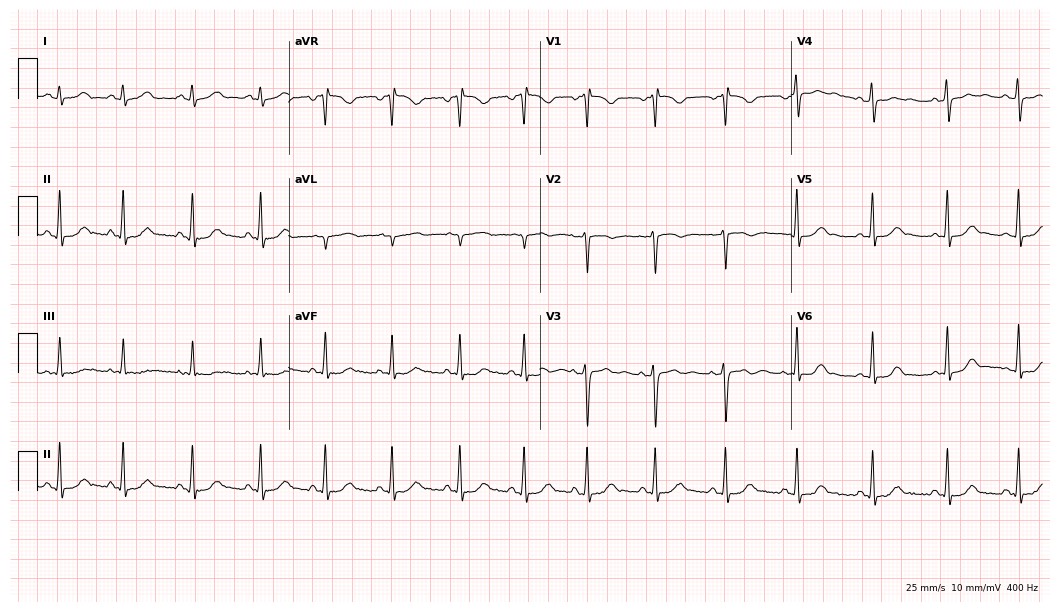
ECG (10.2-second recording at 400 Hz) — a 19-year-old female. Labelled as a normal ECG.